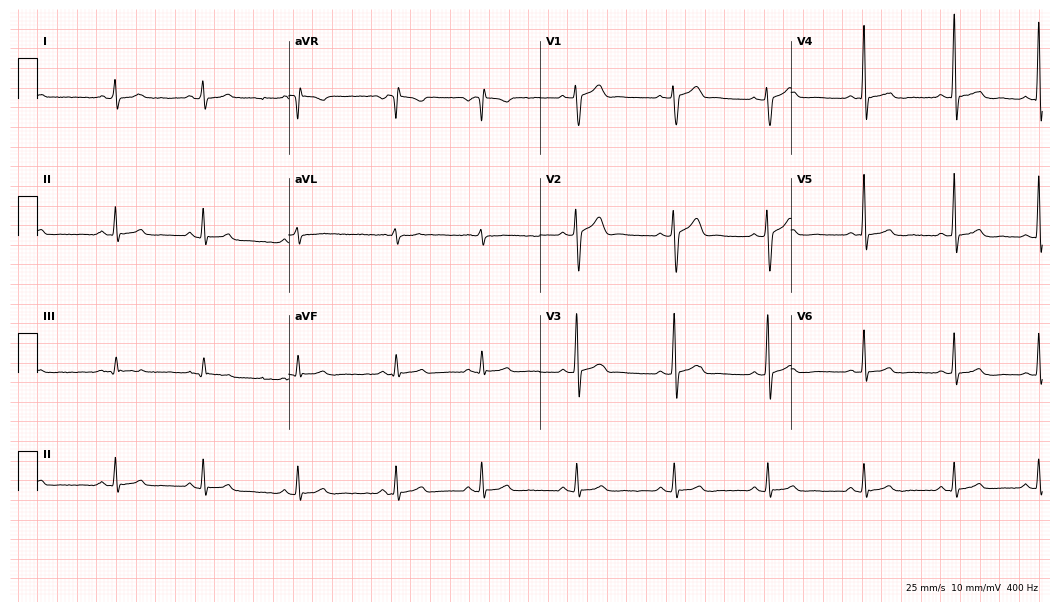
Standard 12-lead ECG recorded from a male, 36 years old (10.2-second recording at 400 Hz). Read as a normal ECG.